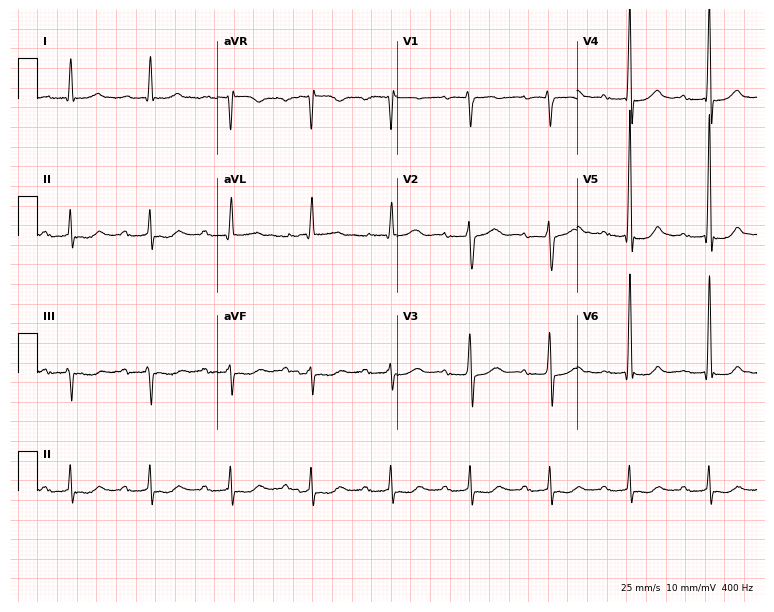
Standard 12-lead ECG recorded from a man, 68 years old. The tracing shows first-degree AV block.